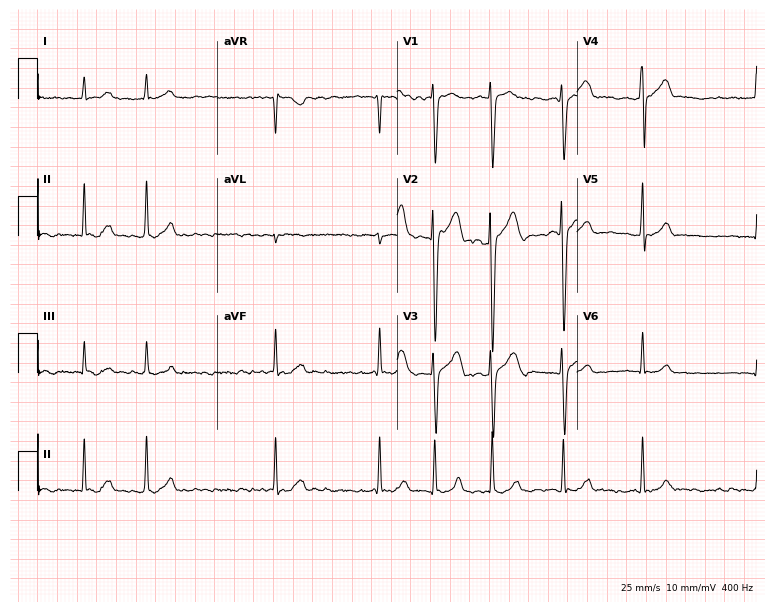
12-lead ECG (7.3-second recording at 400 Hz) from a 26-year-old male. Findings include atrial fibrillation.